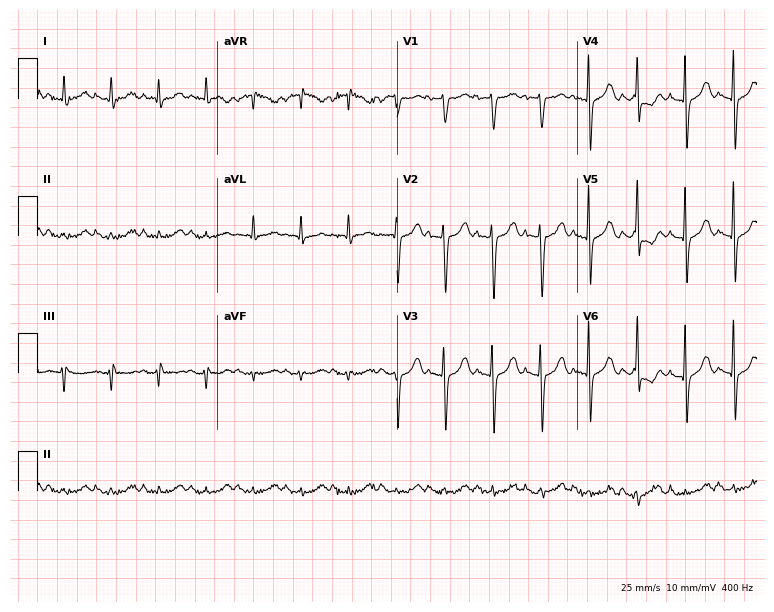
12-lead ECG (7.3-second recording at 400 Hz) from a woman, 80 years old. Findings include sinus tachycardia (a sinus rate of 100 beats per minute or more).